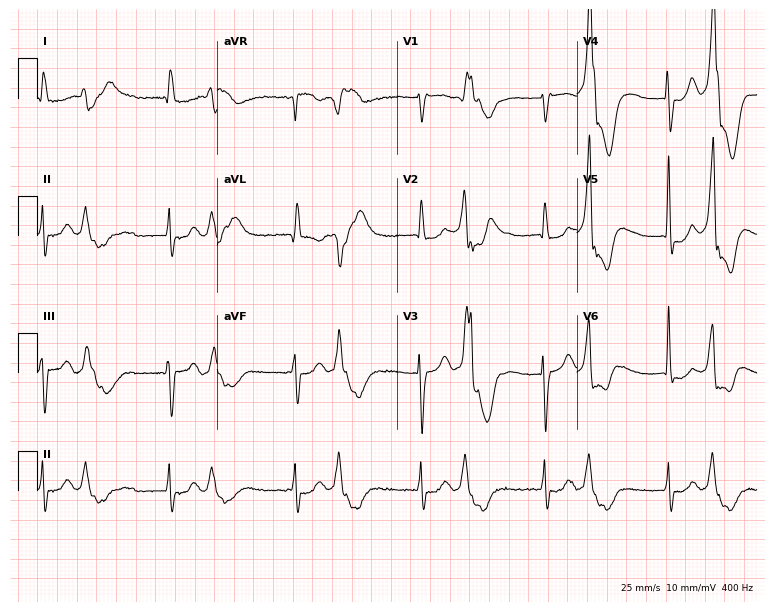
12-lead ECG from a 73-year-old female. No first-degree AV block, right bundle branch block, left bundle branch block, sinus bradycardia, atrial fibrillation or sinus tachycardia recorded for this tracing. Findings outside these six are not listed.